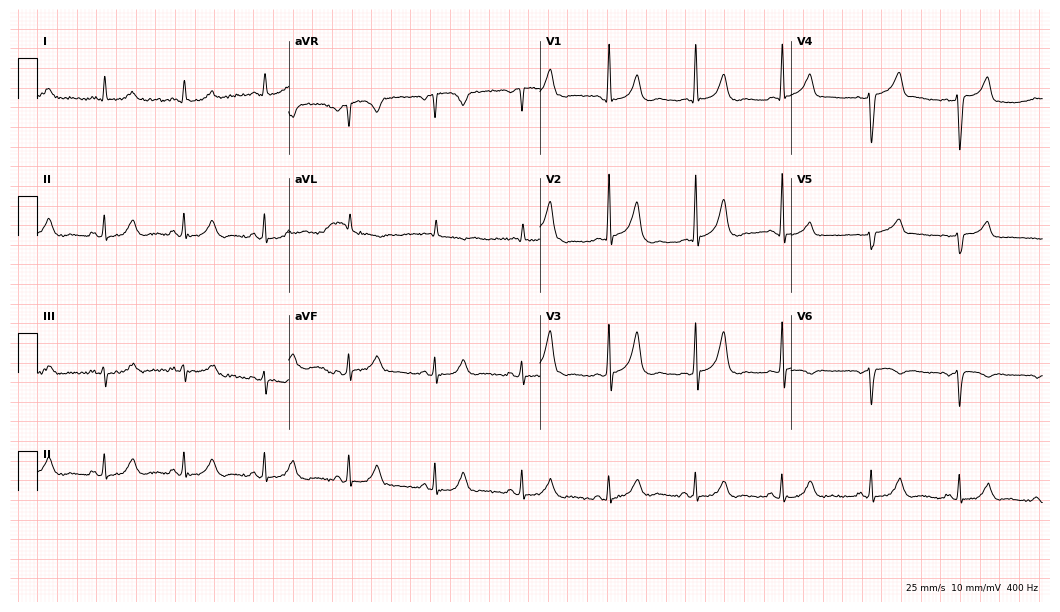
ECG (10.2-second recording at 400 Hz) — a 38-year-old female patient. Screened for six findings — first-degree AV block, right bundle branch block, left bundle branch block, sinus bradycardia, atrial fibrillation, sinus tachycardia — none is recorded.